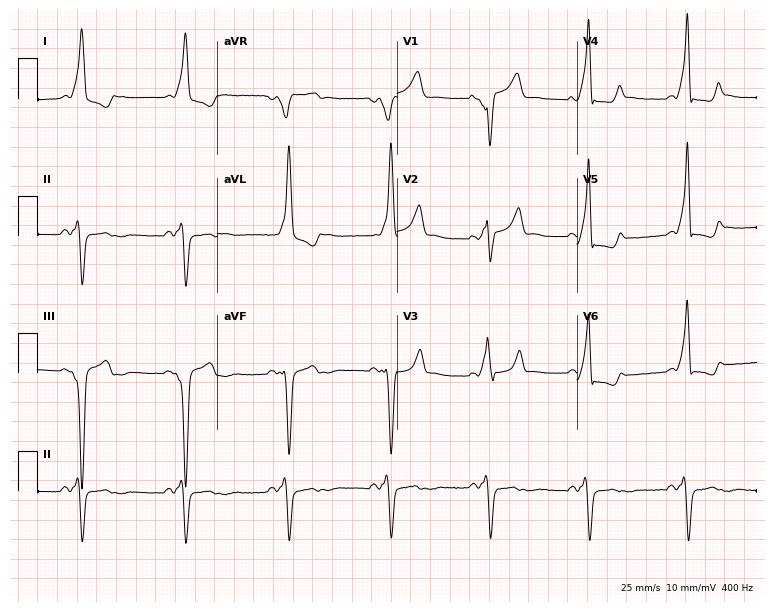
12-lead ECG from a 38-year-old man. Findings include left bundle branch block (LBBB).